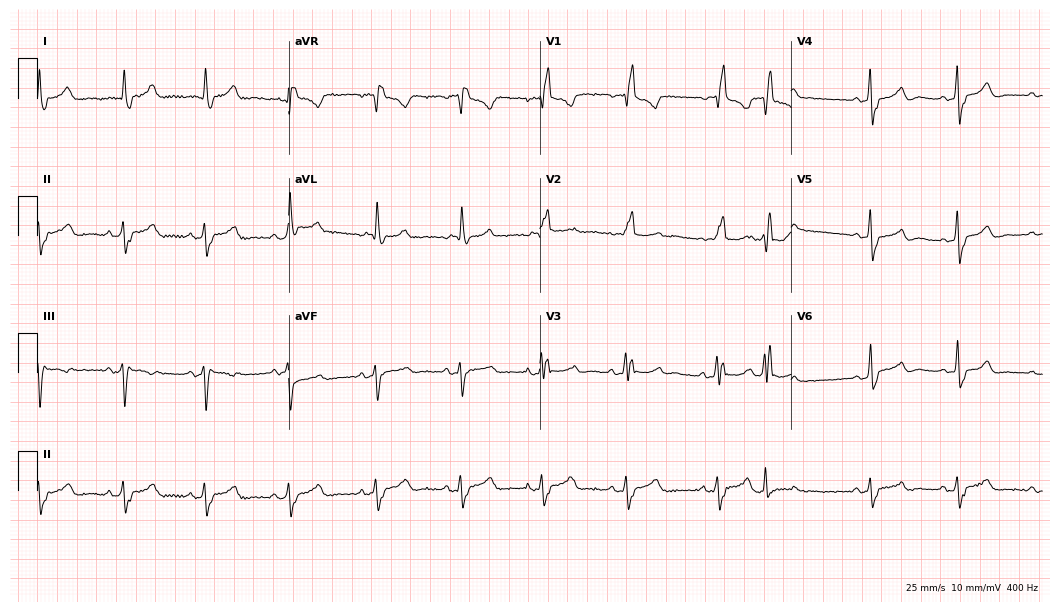
Resting 12-lead electrocardiogram (10.2-second recording at 400 Hz). Patient: a man, 80 years old. None of these six findings is recorded: first-degree AV block, right bundle branch block, left bundle branch block, sinus bradycardia, atrial fibrillation, sinus tachycardia. Other findings, if any, are not listed.